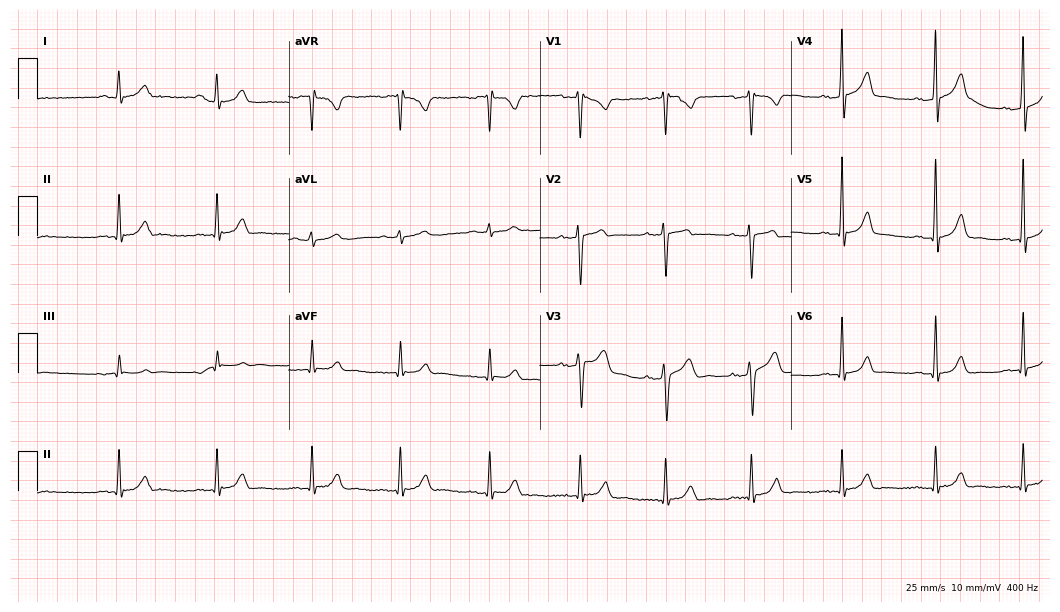
ECG (10.2-second recording at 400 Hz) — a male, 29 years old. Labelled as a normal ECG.